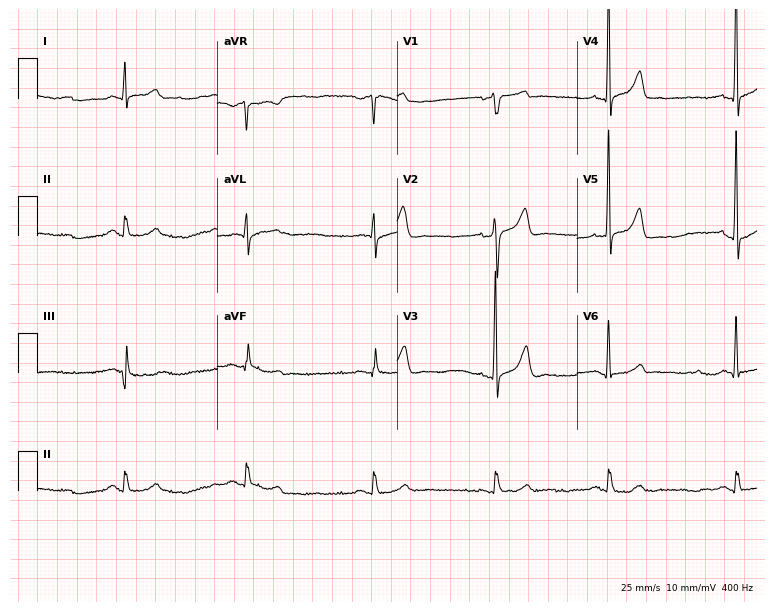
Resting 12-lead electrocardiogram. Patient: a 36-year-old male. None of these six findings is recorded: first-degree AV block, right bundle branch block (RBBB), left bundle branch block (LBBB), sinus bradycardia, atrial fibrillation (AF), sinus tachycardia. Only these six findings were labelled.